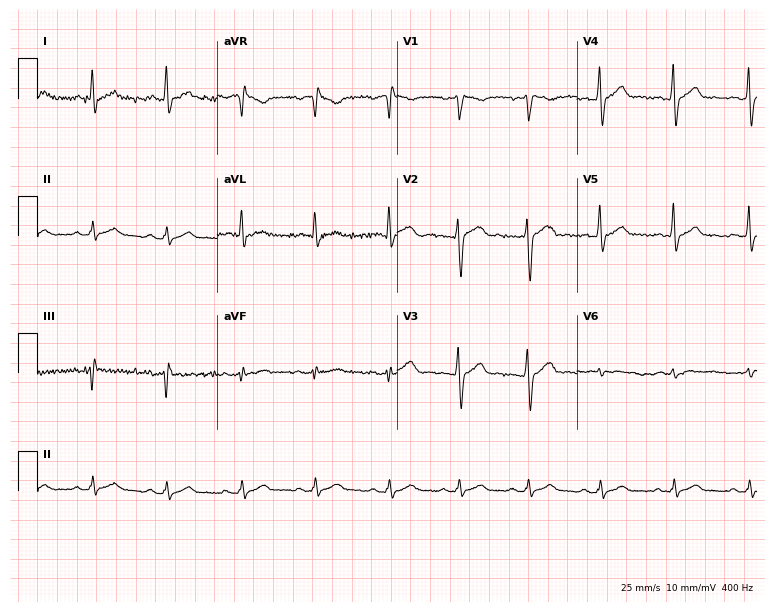
Standard 12-lead ECG recorded from a man, 34 years old (7.3-second recording at 400 Hz). None of these six findings is recorded: first-degree AV block, right bundle branch block (RBBB), left bundle branch block (LBBB), sinus bradycardia, atrial fibrillation (AF), sinus tachycardia. Other findings, if any, are not listed.